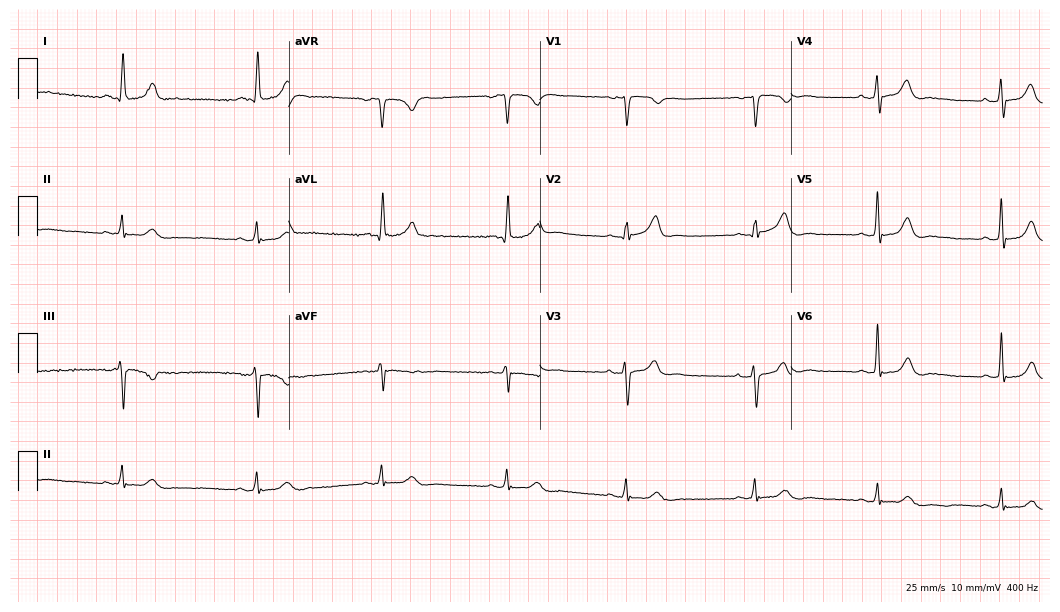
Electrocardiogram, a man, 67 years old. Of the six screened findings (first-degree AV block, right bundle branch block, left bundle branch block, sinus bradycardia, atrial fibrillation, sinus tachycardia), none is recorded. Other findings, if any, are not listed.